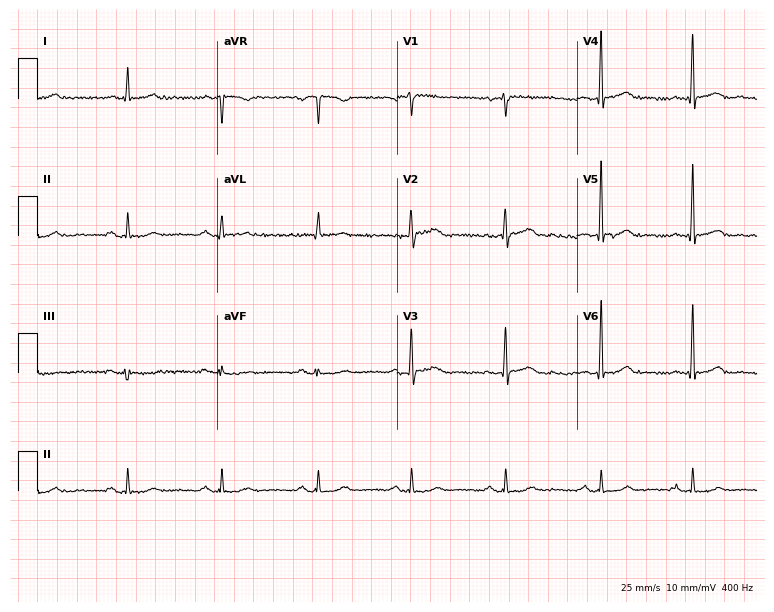
12-lead ECG (7.3-second recording at 400 Hz) from a woman, 60 years old. Screened for six findings — first-degree AV block, right bundle branch block, left bundle branch block, sinus bradycardia, atrial fibrillation, sinus tachycardia — none is recorded.